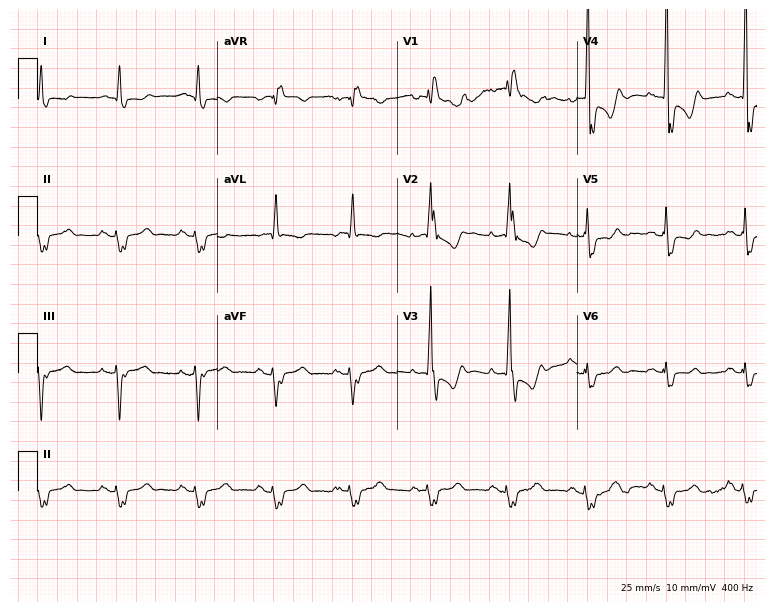
ECG — a 61-year-old male. Findings include right bundle branch block.